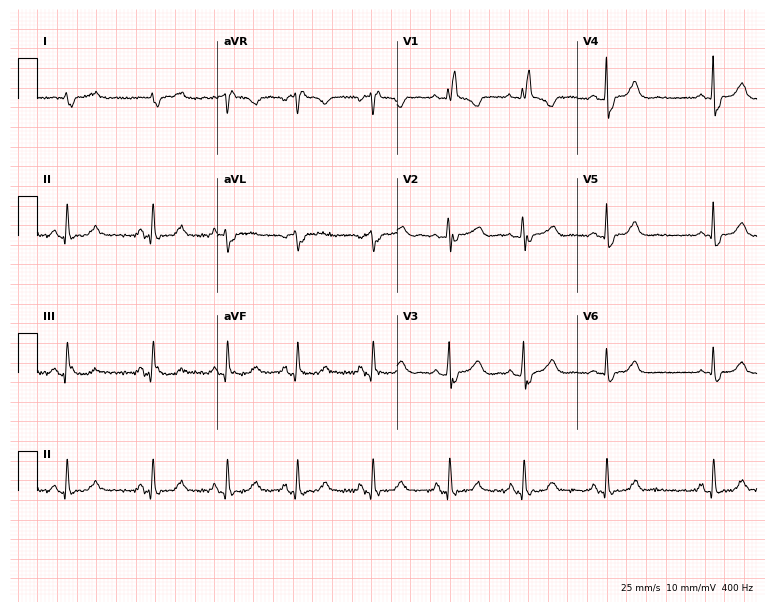
12-lead ECG from a female, 71 years old. Findings include right bundle branch block.